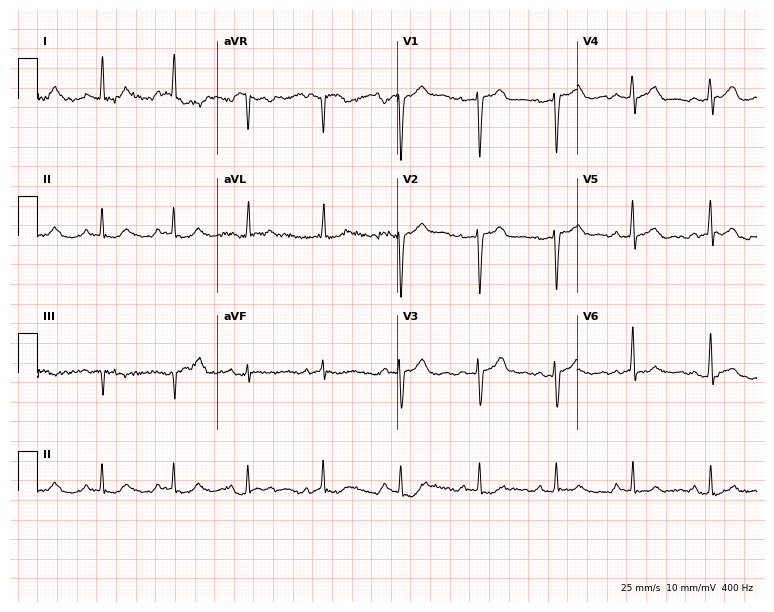
Standard 12-lead ECG recorded from a female patient, 40 years old. Read as a normal ECG.